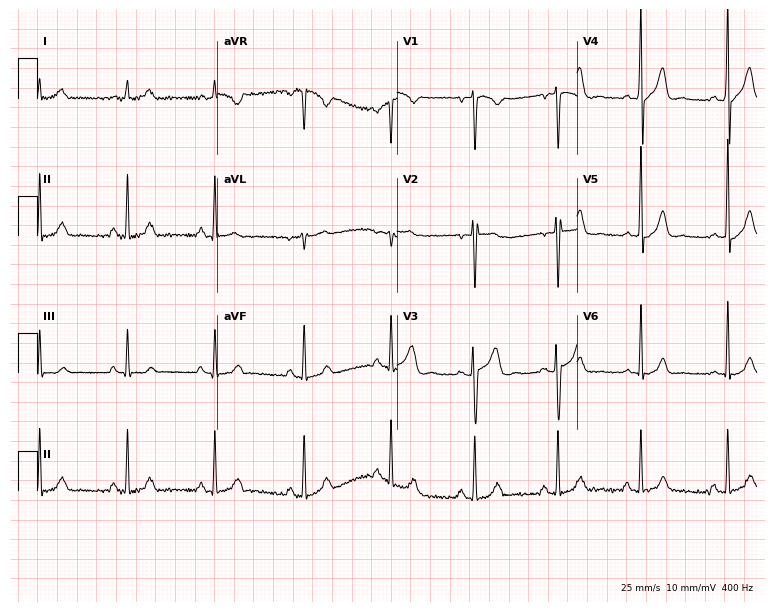
Resting 12-lead electrocardiogram. Patient: a male, 18 years old. Read as a normal ECG.